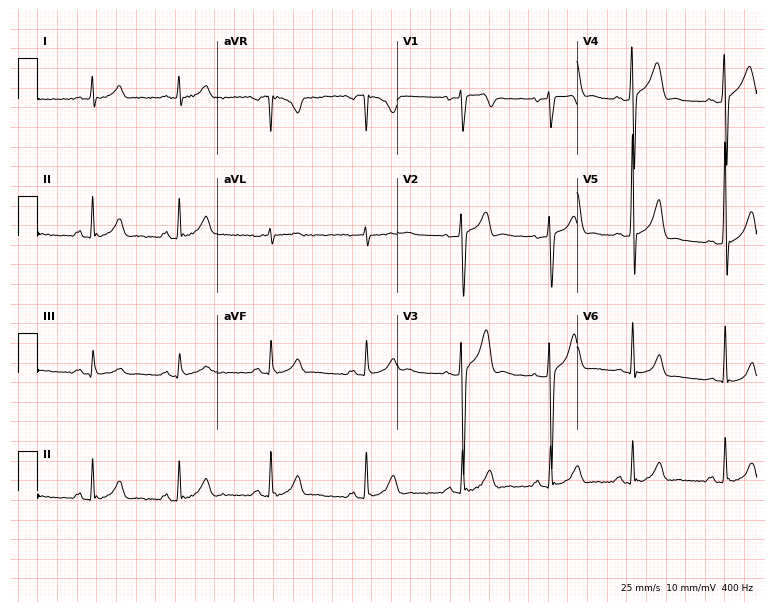
Resting 12-lead electrocardiogram (7.3-second recording at 400 Hz). Patient: a male, 21 years old. None of these six findings is recorded: first-degree AV block, right bundle branch block, left bundle branch block, sinus bradycardia, atrial fibrillation, sinus tachycardia. Only these six findings were labelled.